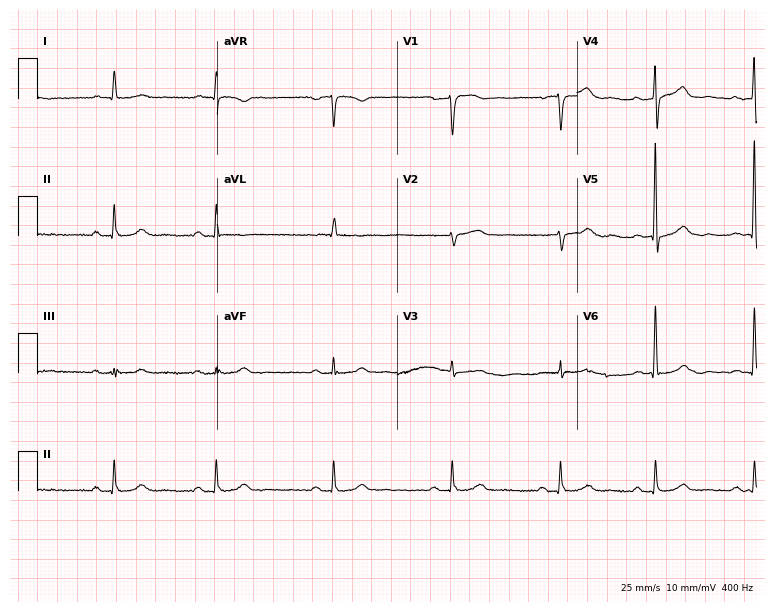
12-lead ECG from a woman, 71 years old (7.3-second recording at 400 Hz). Recorded interpretation: within normal limits.